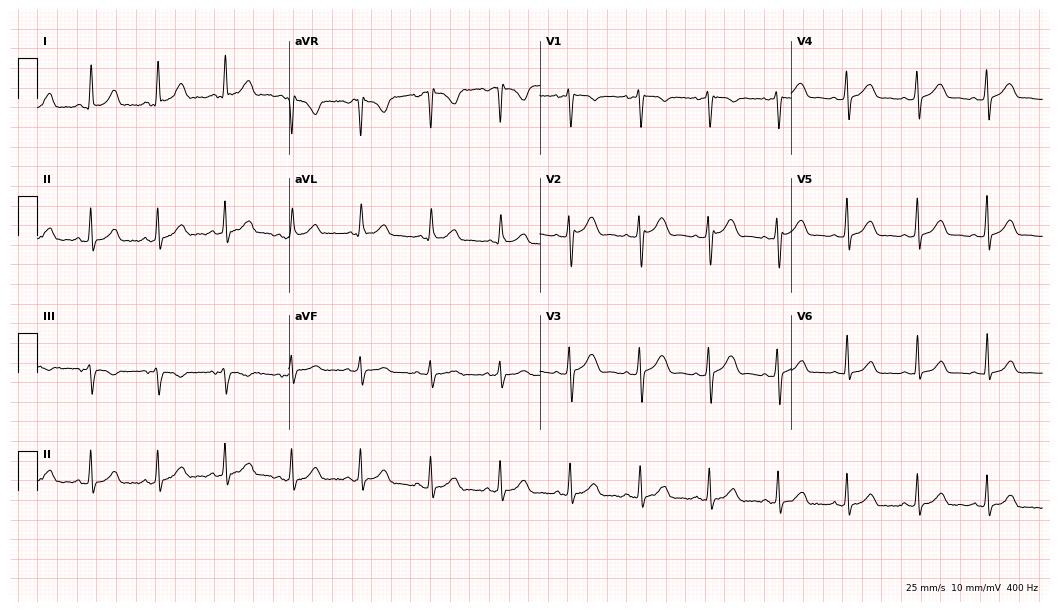
Electrocardiogram (10.2-second recording at 400 Hz), a female, 40 years old. Overall reading on record: normal ECG.